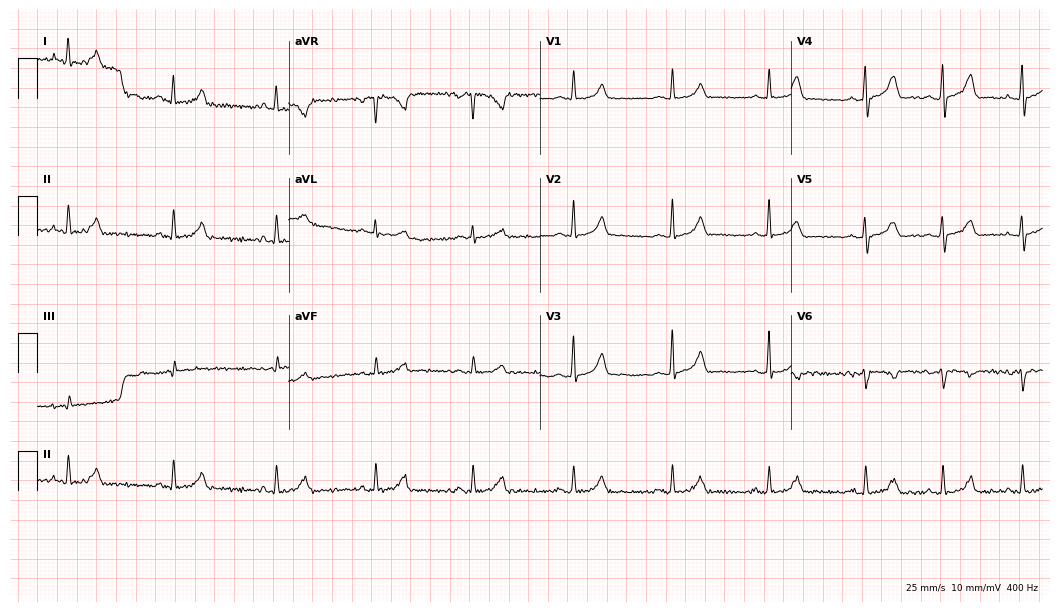
Electrocardiogram, a woman, 22 years old. Of the six screened findings (first-degree AV block, right bundle branch block, left bundle branch block, sinus bradycardia, atrial fibrillation, sinus tachycardia), none is recorded.